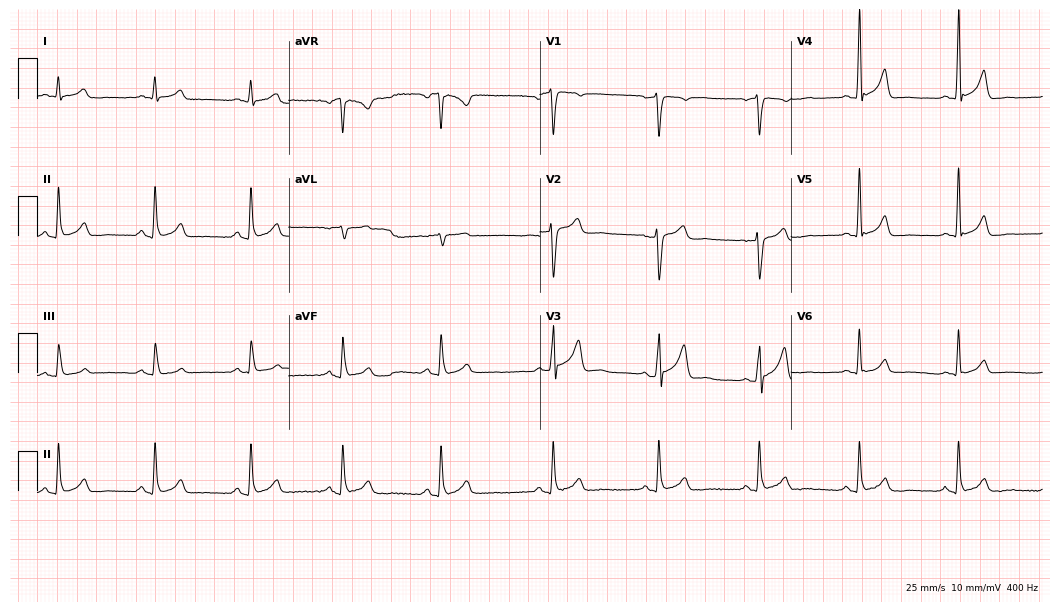
12-lead ECG from a 41-year-old male. Labelled as a normal ECG.